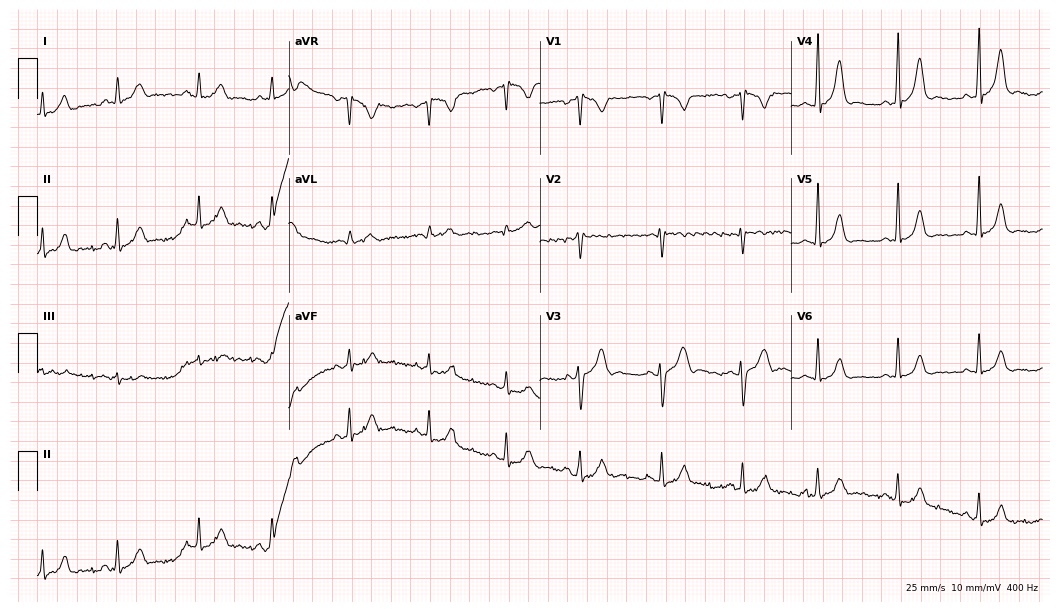
Electrocardiogram (10.2-second recording at 400 Hz), a 36-year-old female patient. Overall reading on record: normal ECG.